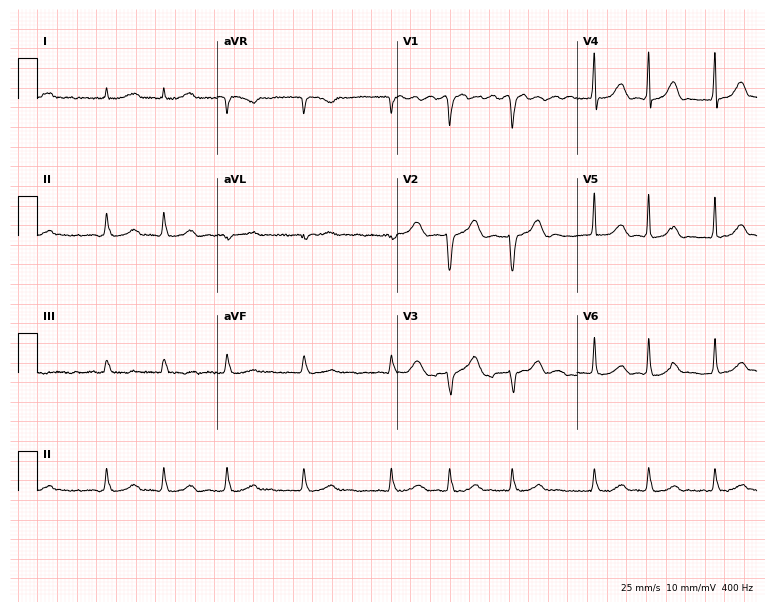
12-lead ECG (7.3-second recording at 400 Hz) from a female, 81 years old. Findings include atrial fibrillation.